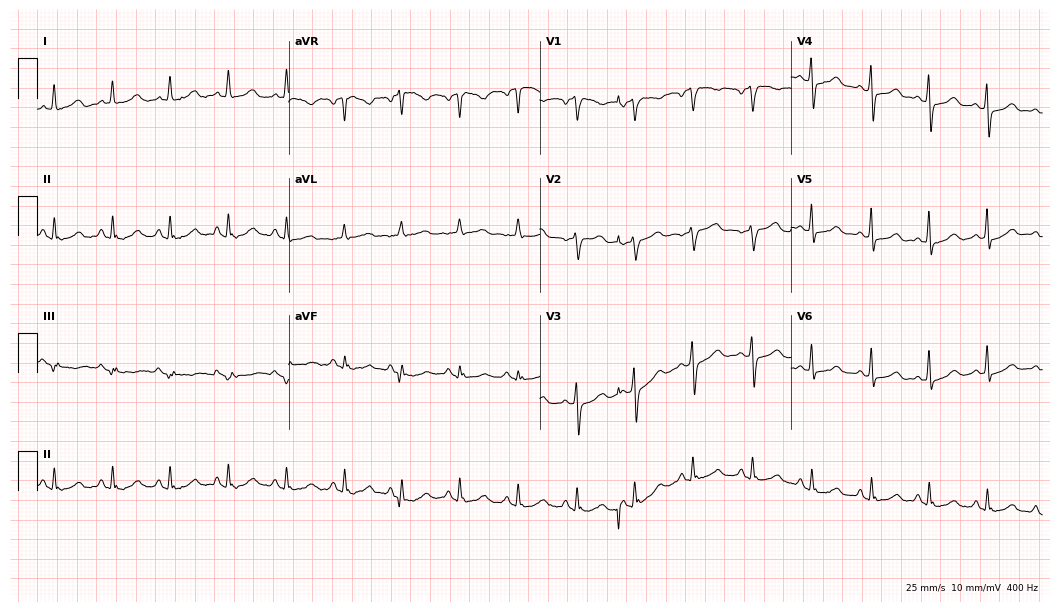
12-lead ECG from a 61-year-old woman (10.2-second recording at 400 Hz). Recorded interpretation: within normal limits.